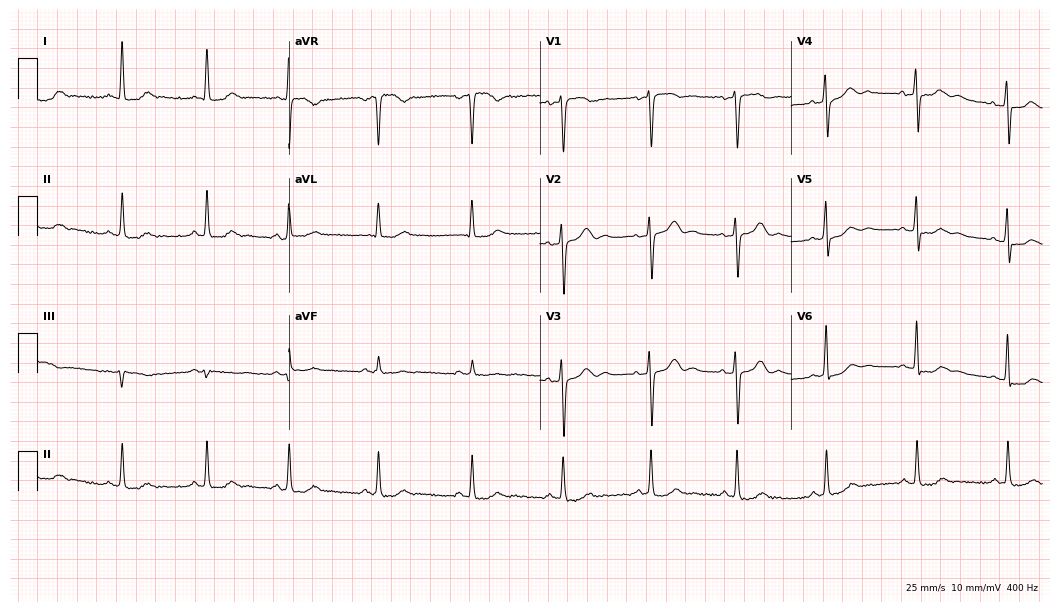
Standard 12-lead ECG recorded from a 38-year-old woman. Read as a normal ECG.